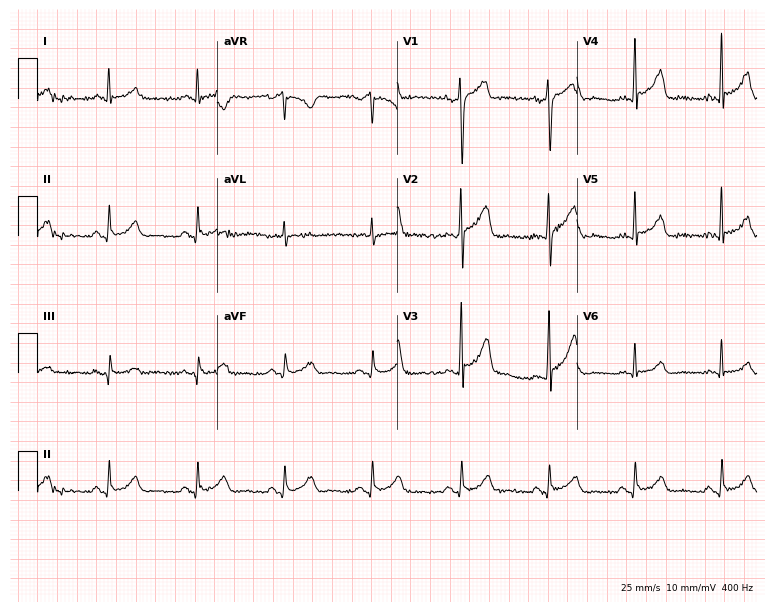
12-lead ECG from a male patient, 44 years old. No first-degree AV block, right bundle branch block (RBBB), left bundle branch block (LBBB), sinus bradycardia, atrial fibrillation (AF) or sinus tachycardia recorded for this tracing.